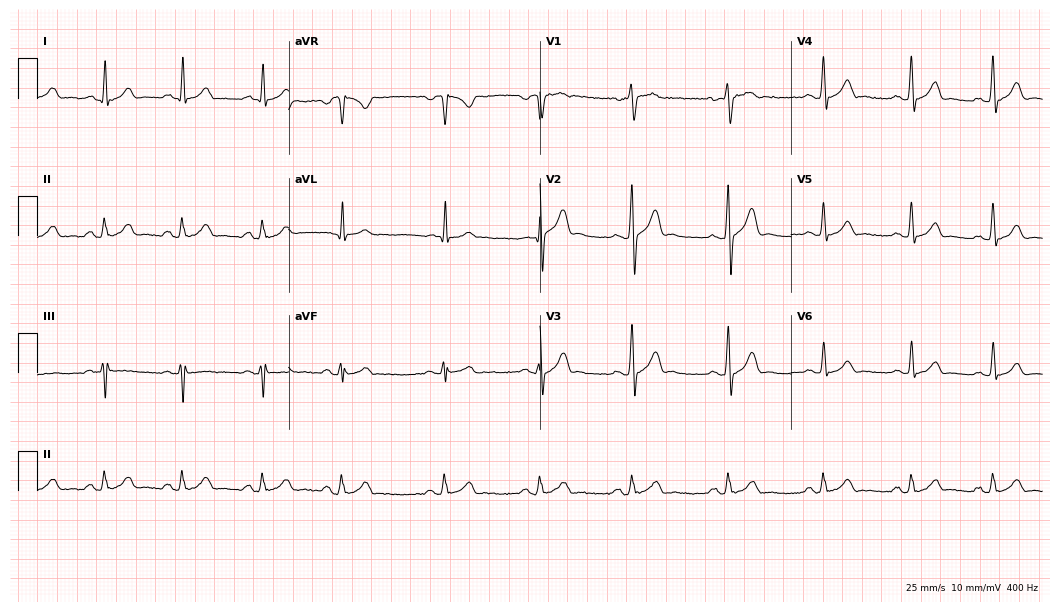
ECG — a man, 30 years old. Labelled as a normal ECG.